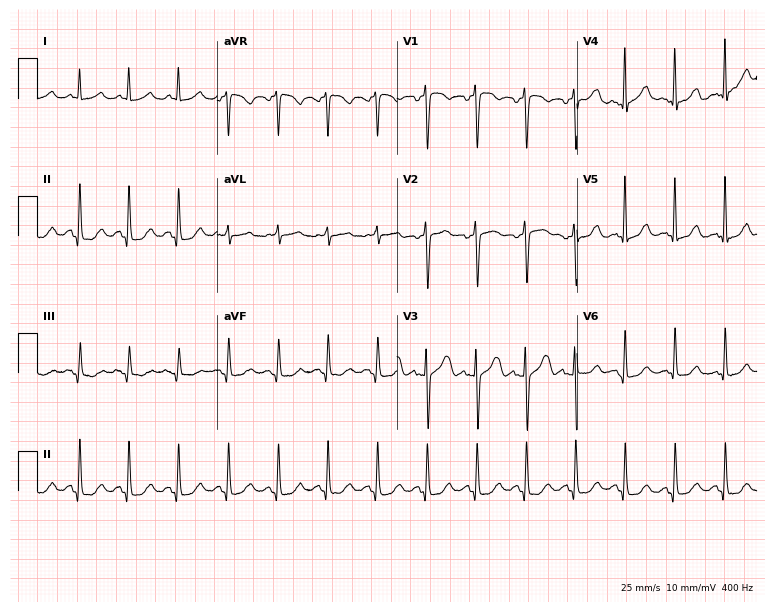
Electrocardiogram, a 60-year-old woman. Interpretation includes sinus tachycardia (a sinus rate of 100 beats per minute or more).